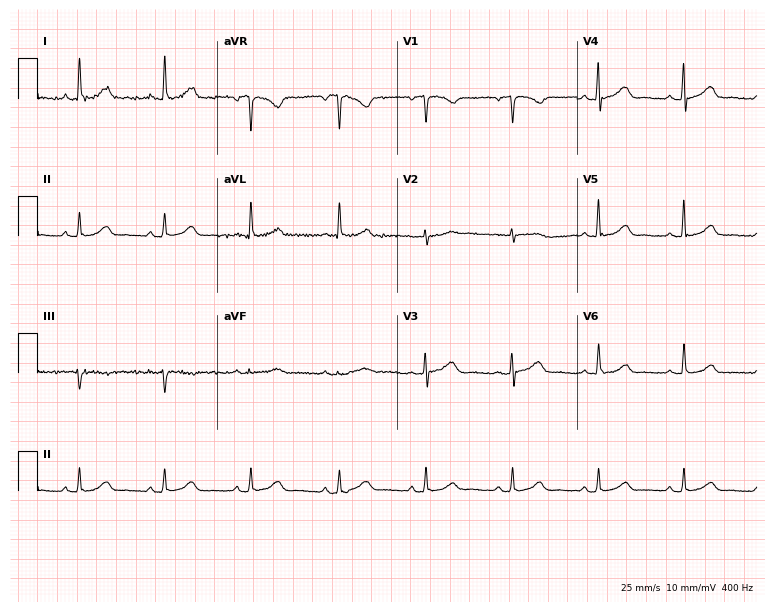
12-lead ECG from a woman, 66 years old (7.3-second recording at 400 Hz). Recorded interpretation: within normal limits.